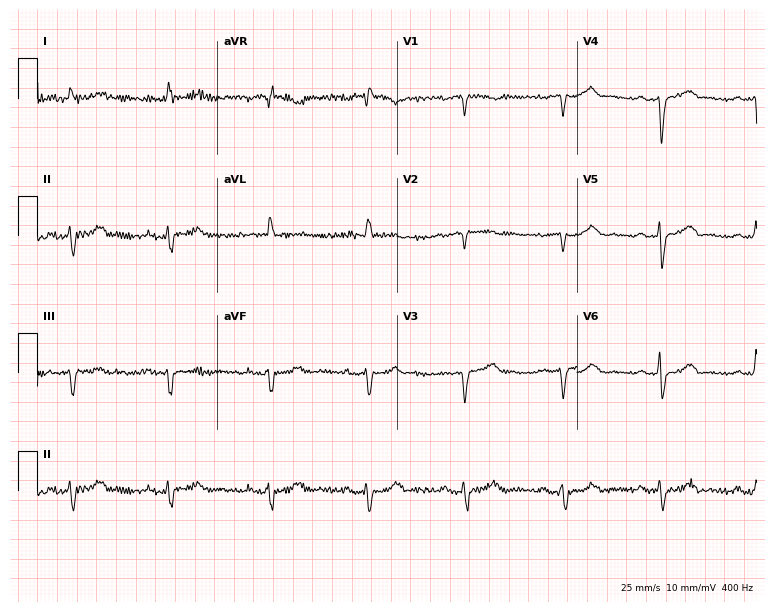
12-lead ECG from a 78-year-old male. Screened for six findings — first-degree AV block, right bundle branch block, left bundle branch block, sinus bradycardia, atrial fibrillation, sinus tachycardia — none is recorded. Only these six findings were labelled.